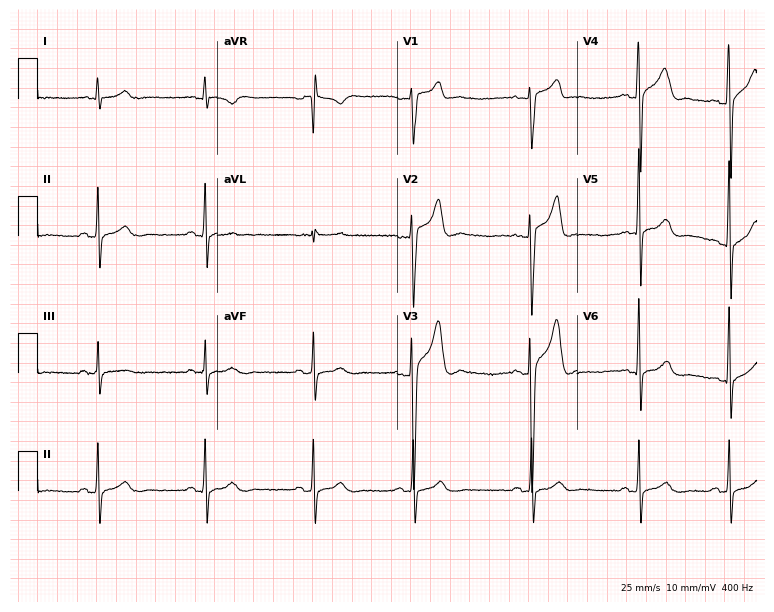
Resting 12-lead electrocardiogram (7.3-second recording at 400 Hz). Patient: a 26-year-old male. None of these six findings is recorded: first-degree AV block, right bundle branch block, left bundle branch block, sinus bradycardia, atrial fibrillation, sinus tachycardia.